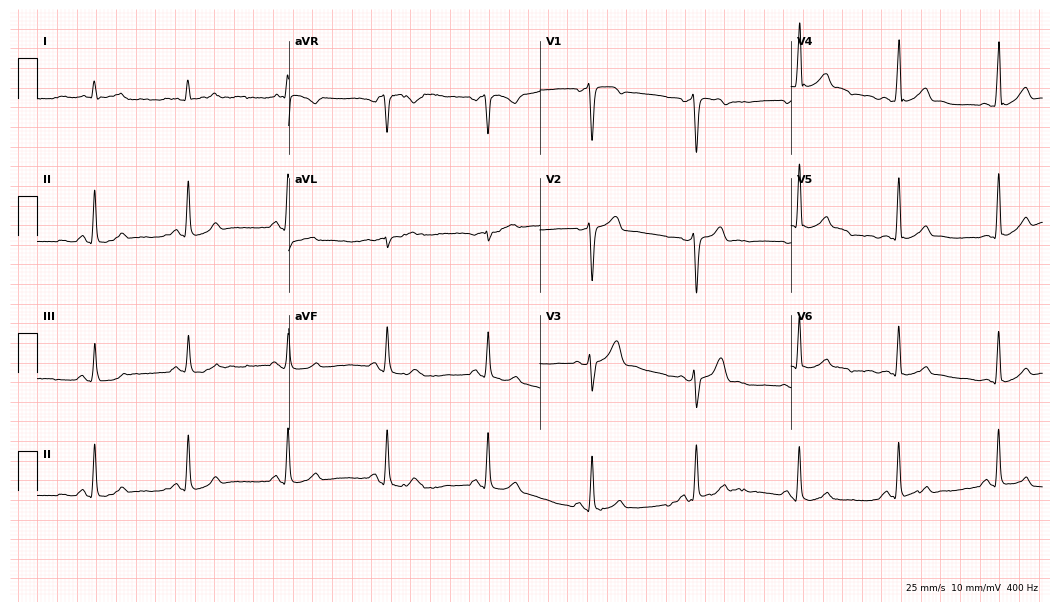
12-lead ECG from a 46-year-old man. Labelled as a normal ECG.